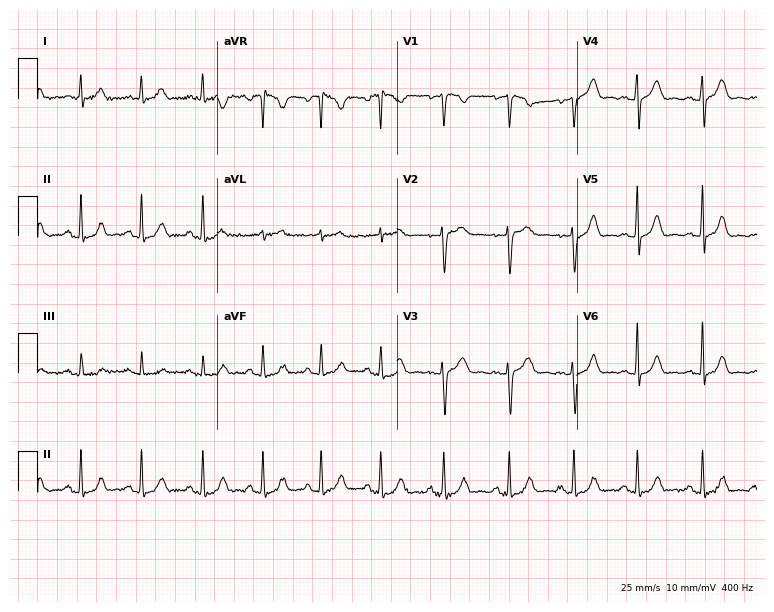
ECG — a 23-year-old female patient. Screened for six findings — first-degree AV block, right bundle branch block (RBBB), left bundle branch block (LBBB), sinus bradycardia, atrial fibrillation (AF), sinus tachycardia — none is recorded.